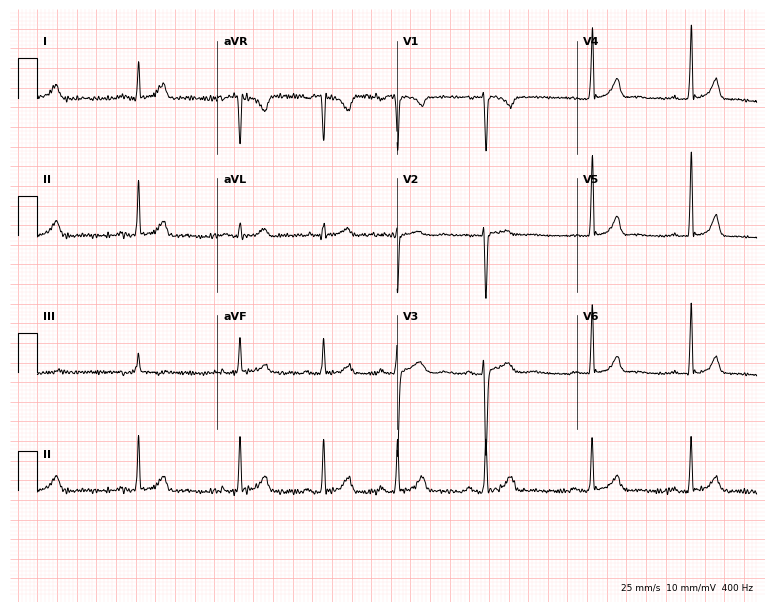
Electrocardiogram, a female, 28 years old. Overall reading on record: normal ECG.